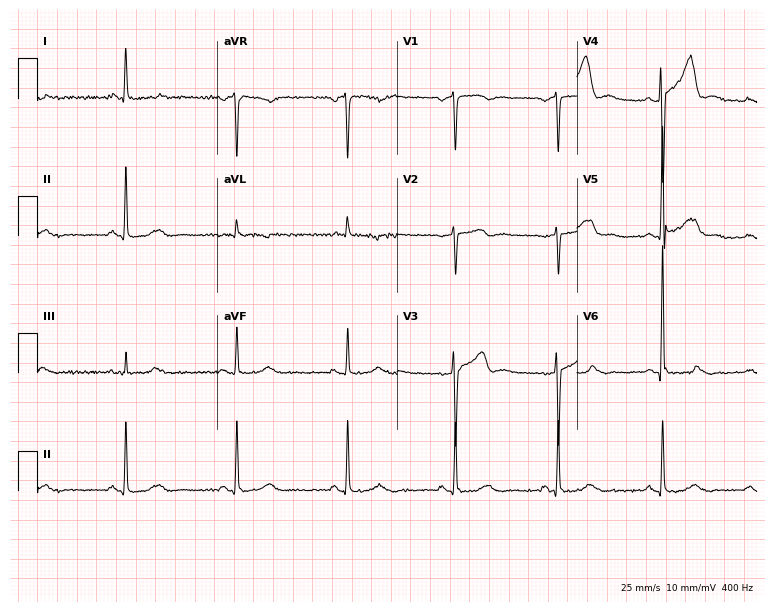
Standard 12-lead ECG recorded from a male patient, 60 years old. None of these six findings is recorded: first-degree AV block, right bundle branch block (RBBB), left bundle branch block (LBBB), sinus bradycardia, atrial fibrillation (AF), sinus tachycardia.